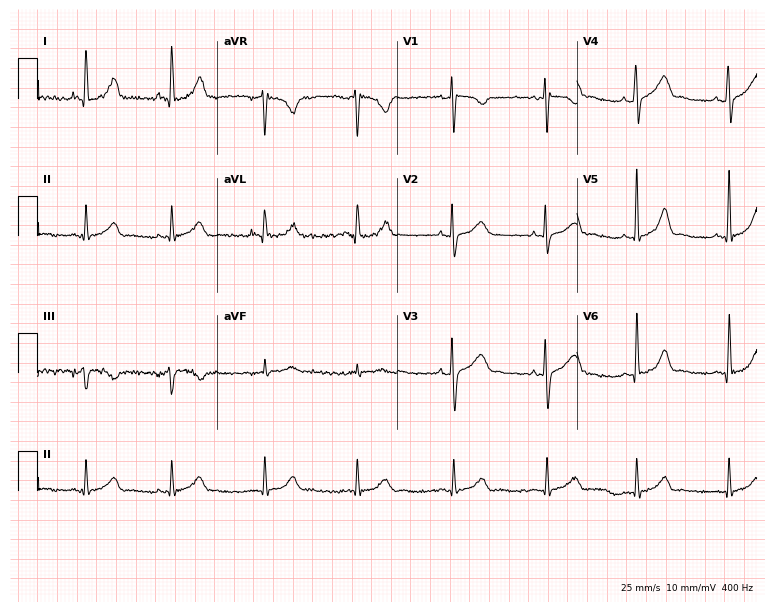
Electrocardiogram (7.3-second recording at 400 Hz), a 33-year-old woman. Overall reading on record: normal ECG.